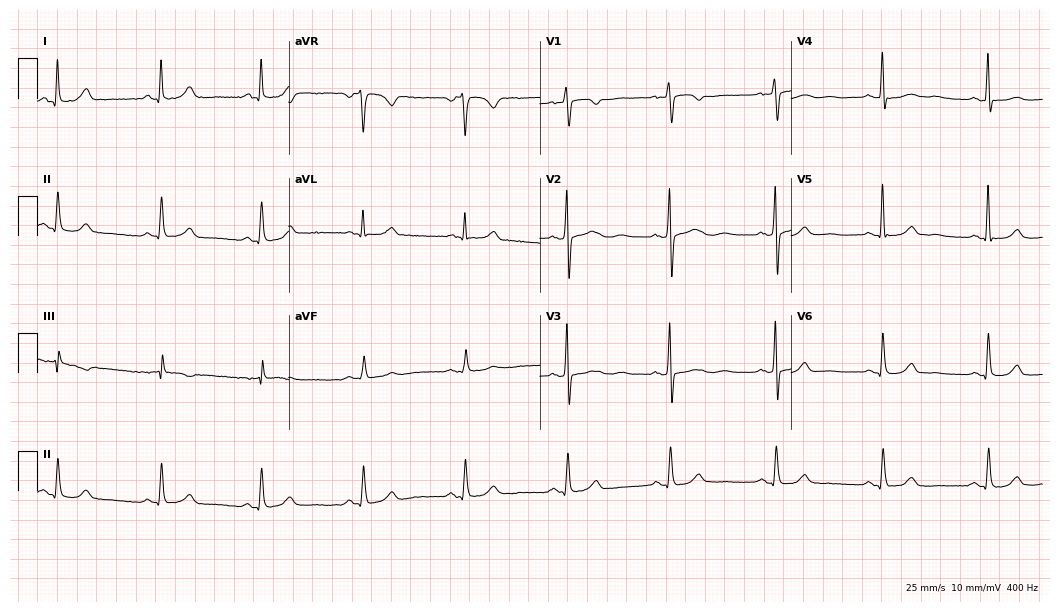
Resting 12-lead electrocardiogram (10.2-second recording at 400 Hz). Patient: a 59-year-old female. Read as a normal ECG.